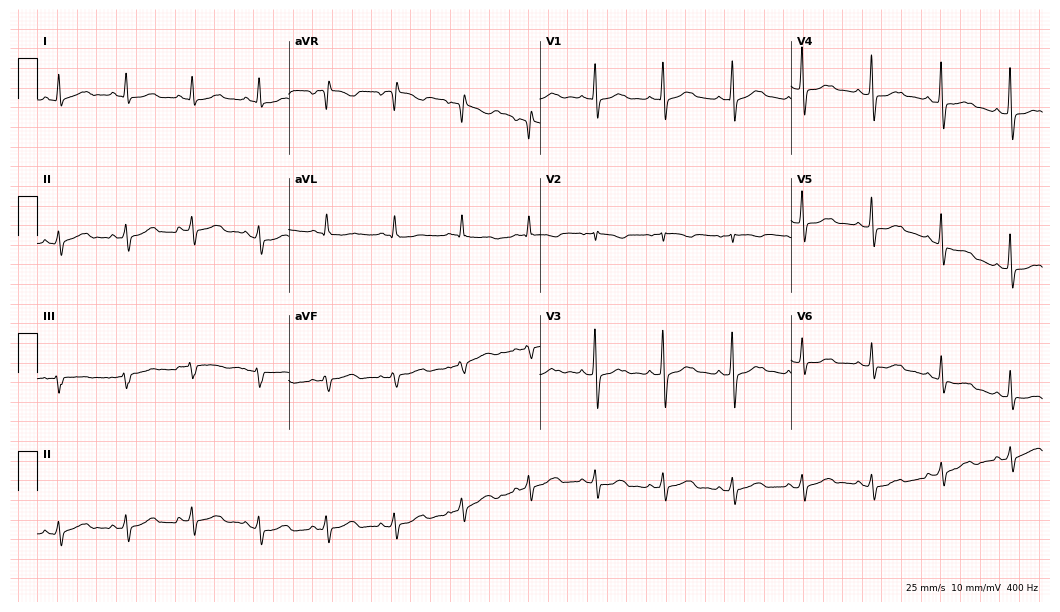
Electrocardiogram (10.2-second recording at 400 Hz), a 75-year-old woman. Overall reading on record: normal ECG.